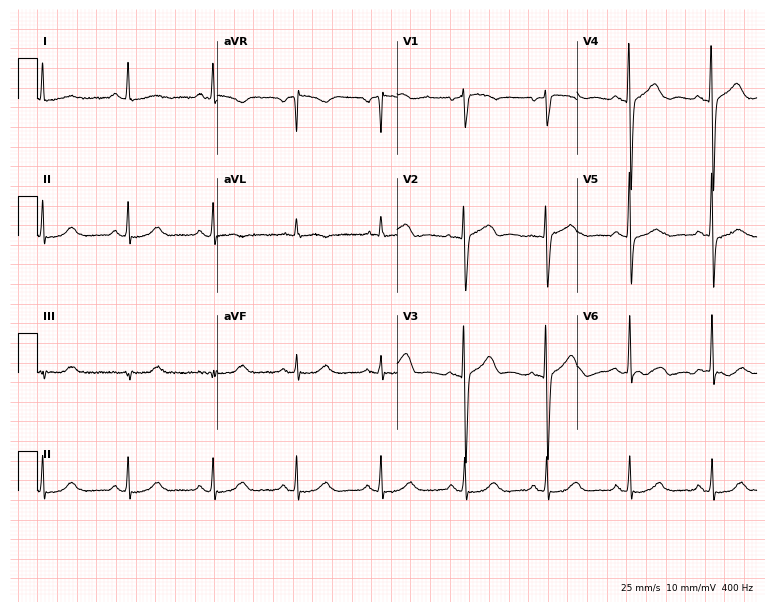
Resting 12-lead electrocardiogram. Patient: a 73-year-old female. None of these six findings is recorded: first-degree AV block, right bundle branch block (RBBB), left bundle branch block (LBBB), sinus bradycardia, atrial fibrillation (AF), sinus tachycardia.